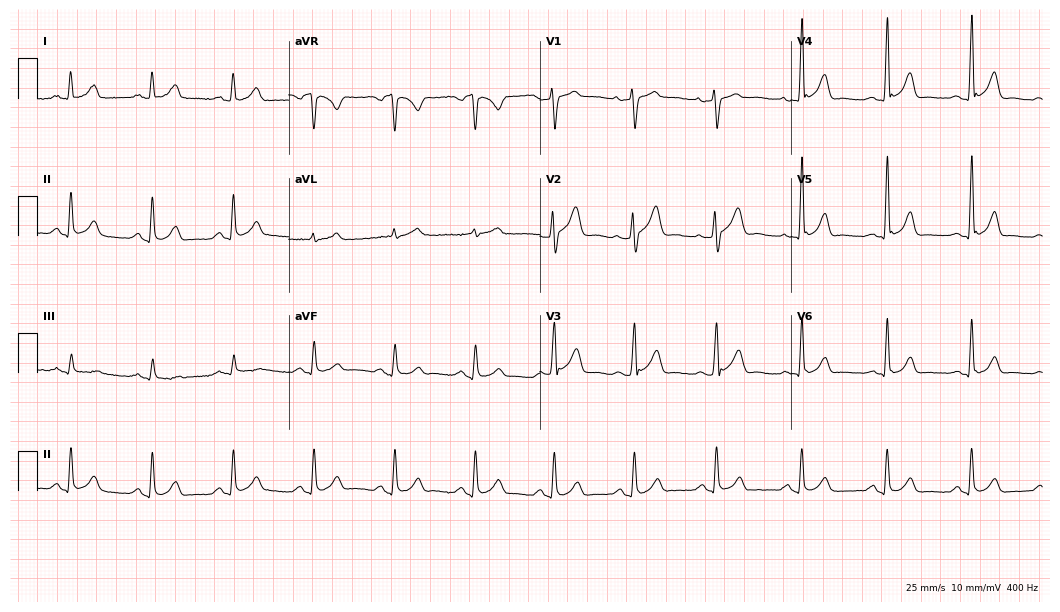
Standard 12-lead ECG recorded from a man, 34 years old. None of these six findings is recorded: first-degree AV block, right bundle branch block (RBBB), left bundle branch block (LBBB), sinus bradycardia, atrial fibrillation (AF), sinus tachycardia. Other findings, if any, are not listed.